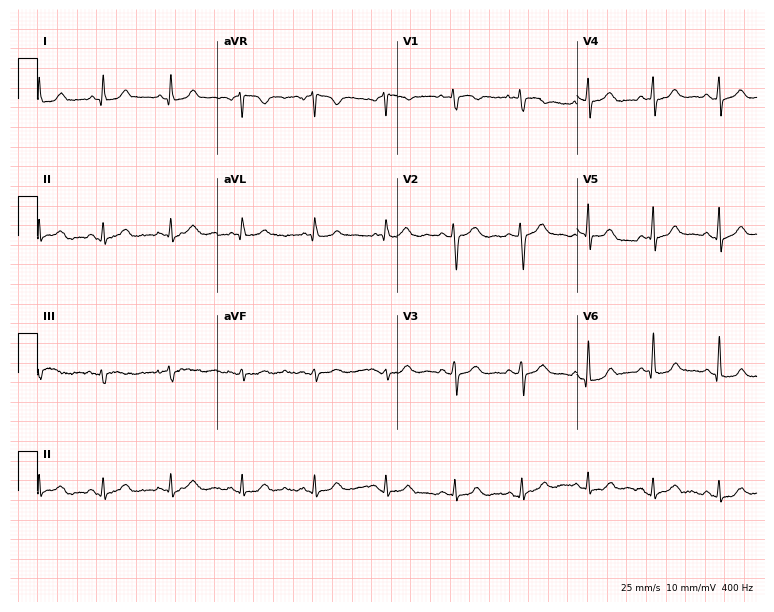
Standard 12-lead ECG recorded from a 56-year-old female patient. Read as a normal ECG.